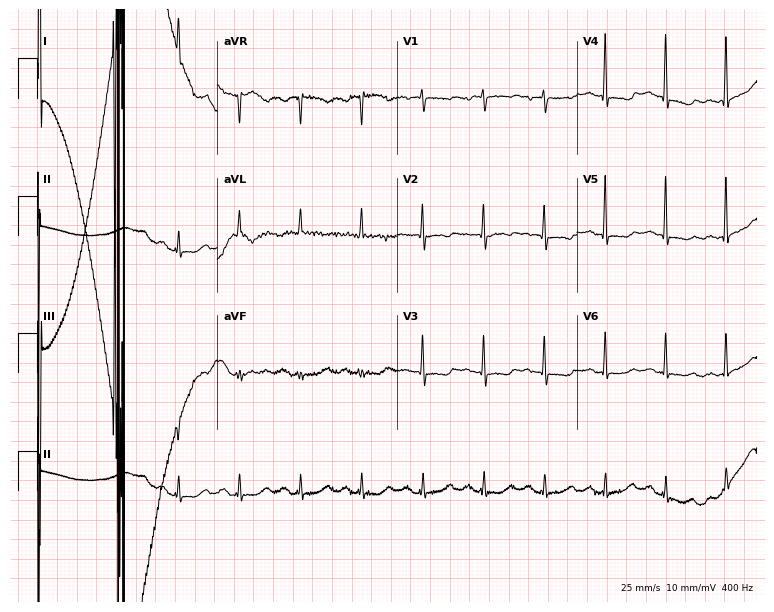
12-lead ECG from a female patient, 58 years old. No first-degree AV block, right bundle branch block, left bundle branch block, sinus bradycardia, atrial fibrillation or sinus tachycardia recorded for this tracing. Findings outside these six are not listed.